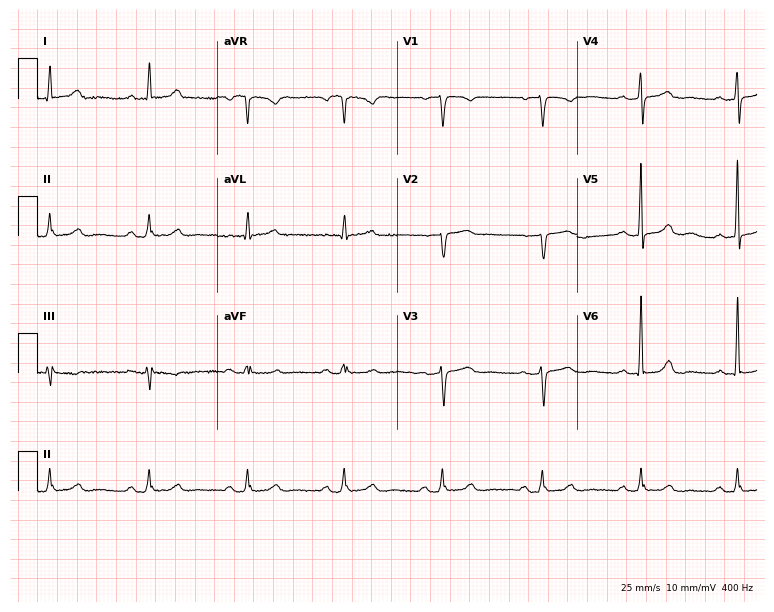
Standard 12-lead ECG recorded from a 57-year-old female patient. Read as a normal ECG.